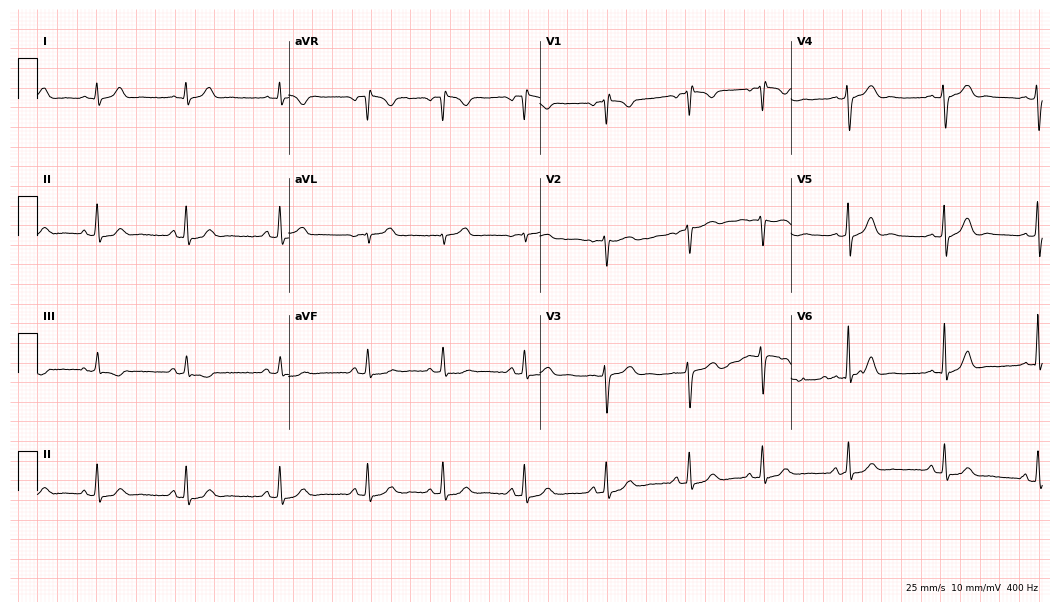
12-lead ECG (10.2-second recording at 400 Hz) from a 28-year-old woman. Screened for six findings — first-degree AV block, right bundle branch block (RBBB), left bundle branch block (LBBB), sinus bradycardia, atrial fibrillation (AF), sinus tachycardia — none is recorded. Other findings, if any, are not listed.